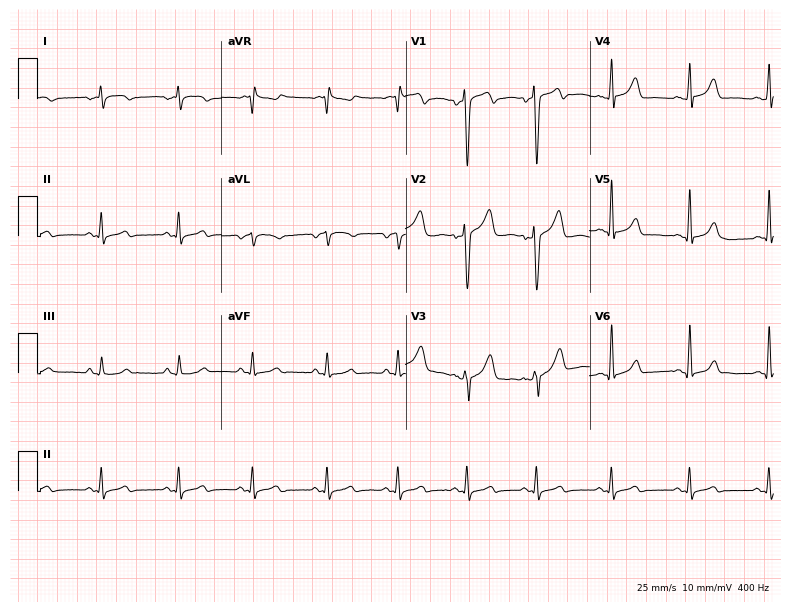
12-lead ECG (7.5-second recording at 400 Hz) from a 26-year-old female patient. Screened for six findings — first-degree AV block, right bundle branch block, left bundle branch block, sinus bradycardia, atrial fibrillation, sinus tachycardia — none is recorded.